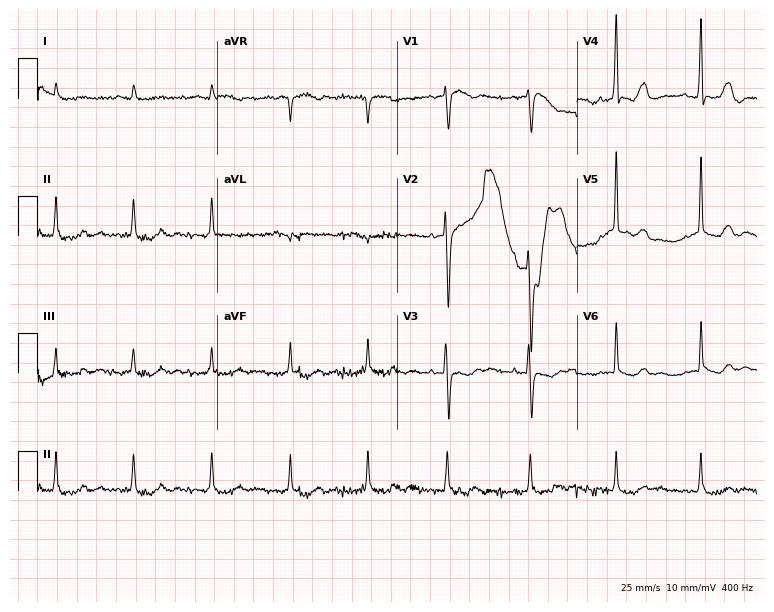
Resting 12-lead electrocardiogram (7.3-second recording at 400 Hz). Patient: a 66-year-old woman. Read as a normal ECG.